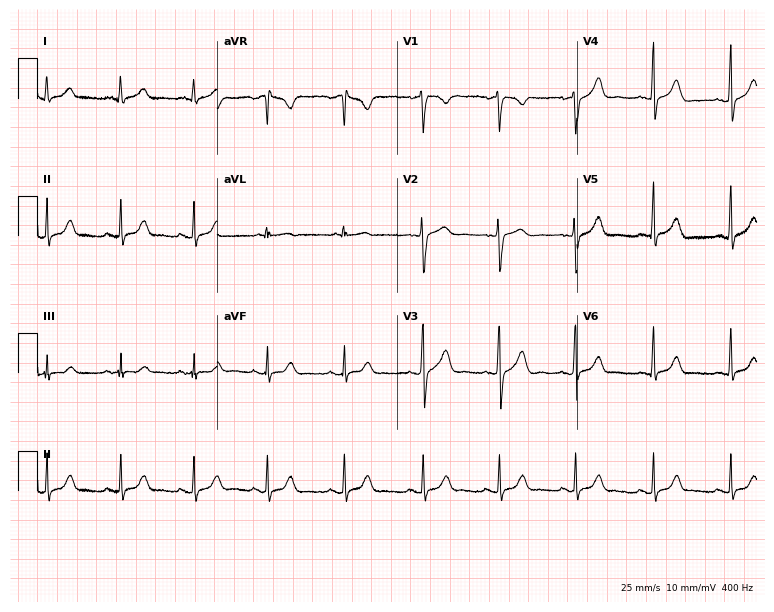
12-lead ECG from a male patient, 24 years old. Recorded interpretation: within normal limits.